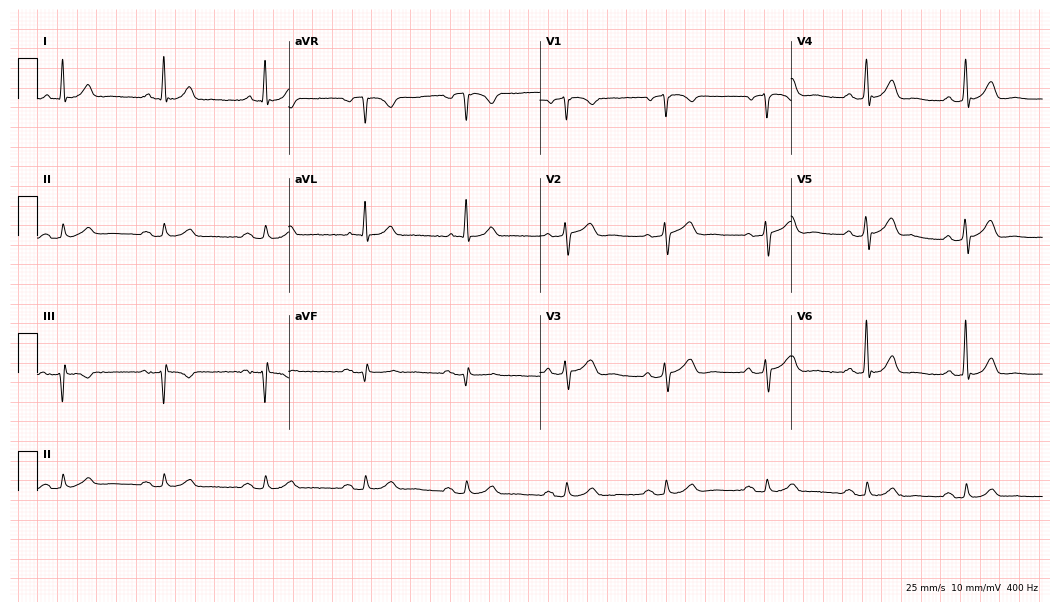
12-lead ECG from an 81-year-old male patient. Recorded interpretation: within normal limits.